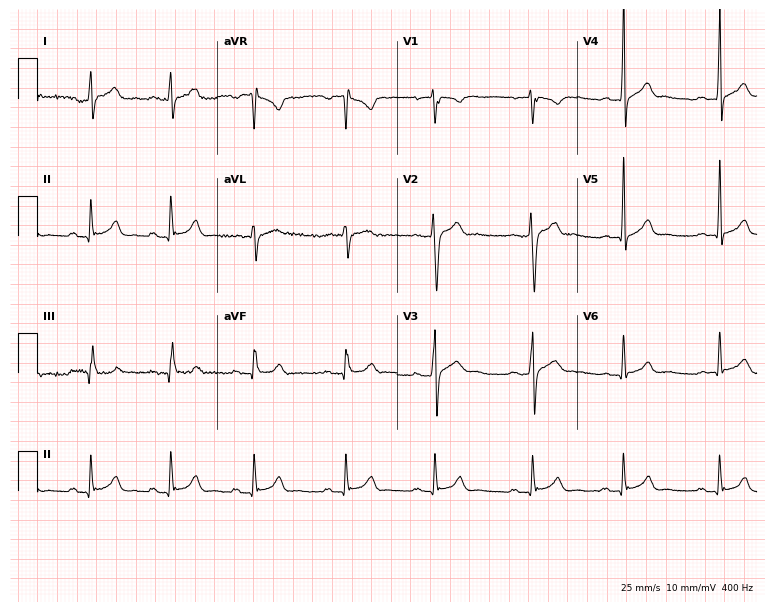
Resting 12-lead electrocardiogram (7.3-second recording at 400 Hz). Patient: a male, 24 years old. Read as a normal ECG.